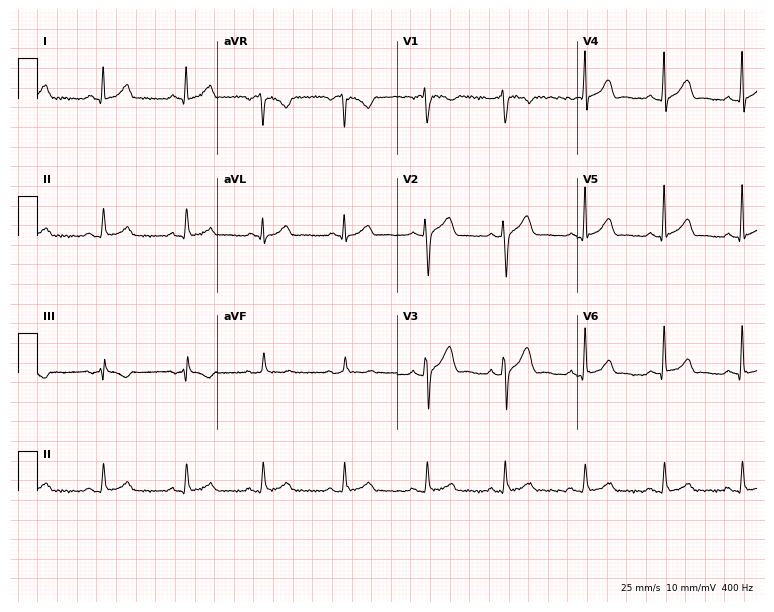
12-lead ECG from a 39-year-old male patient. Recorded interpretation: within normal limits.